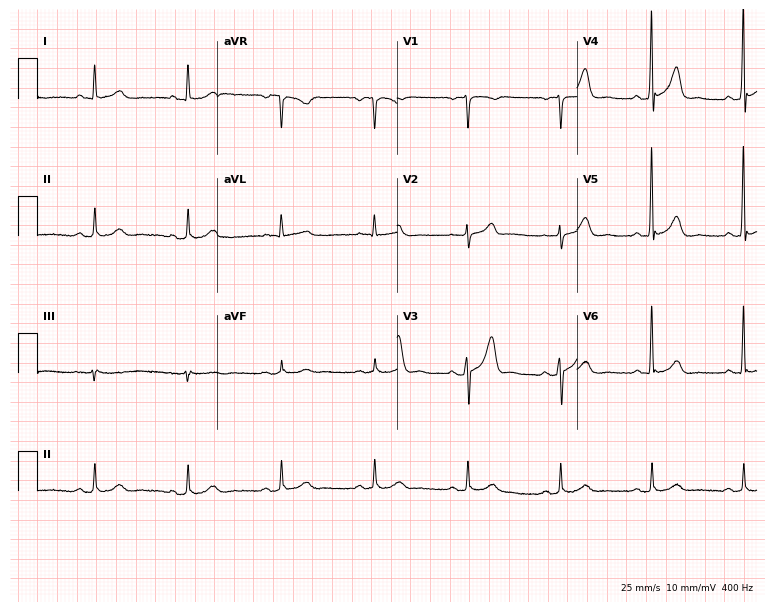
Resting 12-lead electrocardiogram (7.3-second recording at 400 Hz). Patient: a male, 63 years old. None of these six findings is recorded: first-degree AV block, right bundle branch block, left bundle branch block, sinus bradycardia, atrial fibrillation, sinus tachycardia.